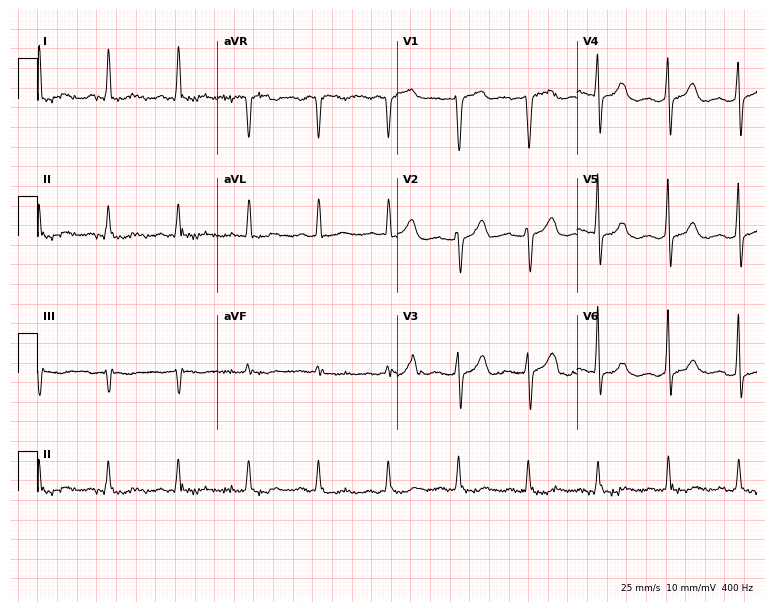
Electrocardiogram, a female patient, 64 years old. Of the six screened findings (first-degree AV block, right bundle branch block (RBBB), left bundle branch block (LBBB), sinus bradycardia, atrial fibrillation (AF), sinus tachycardia), none is recorded.